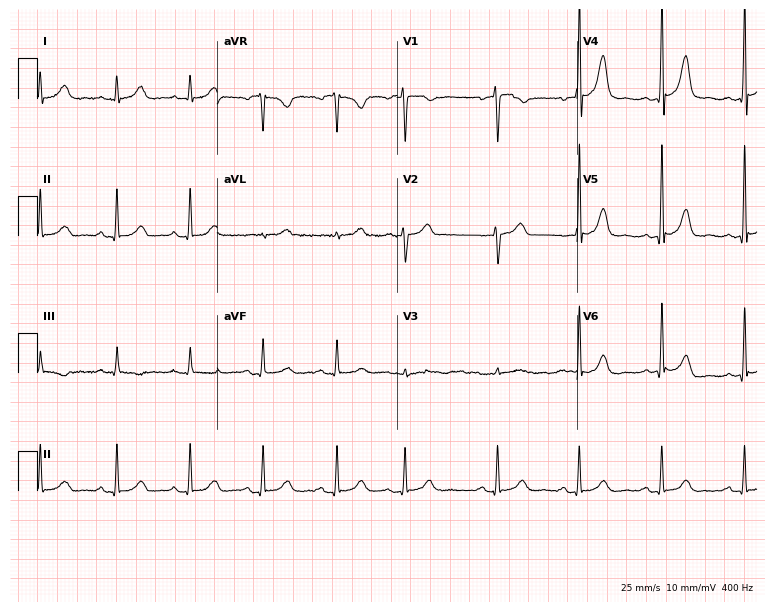
Electrocardiogram (7.3-second recording at 400 Hz), a male, 40 years old. Overall reading on record: normal ECG.